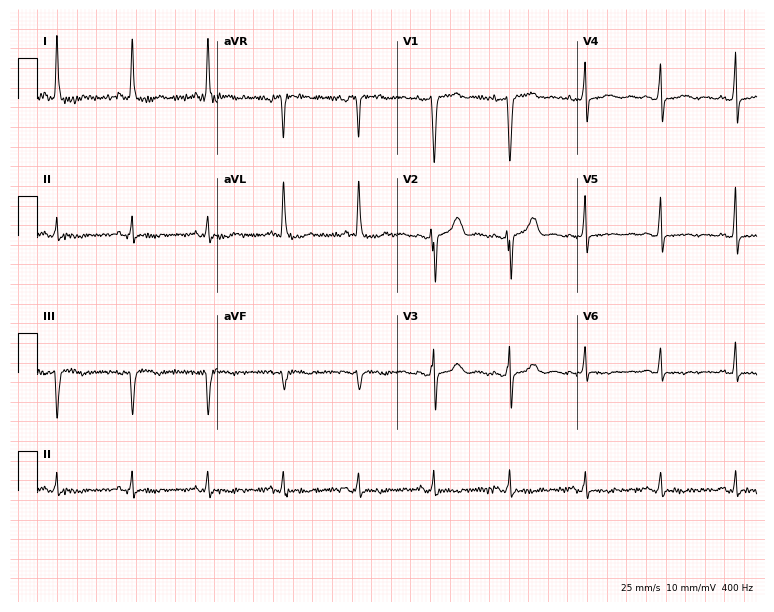
Standard 12-lead ECG recorded from a female, 49 years old. None of these six findings is recorded: first-degree AV block, right bundle branch block, left bundle branch block, sinus bradycardia, atrial fibrillation, sinus tachycardia.